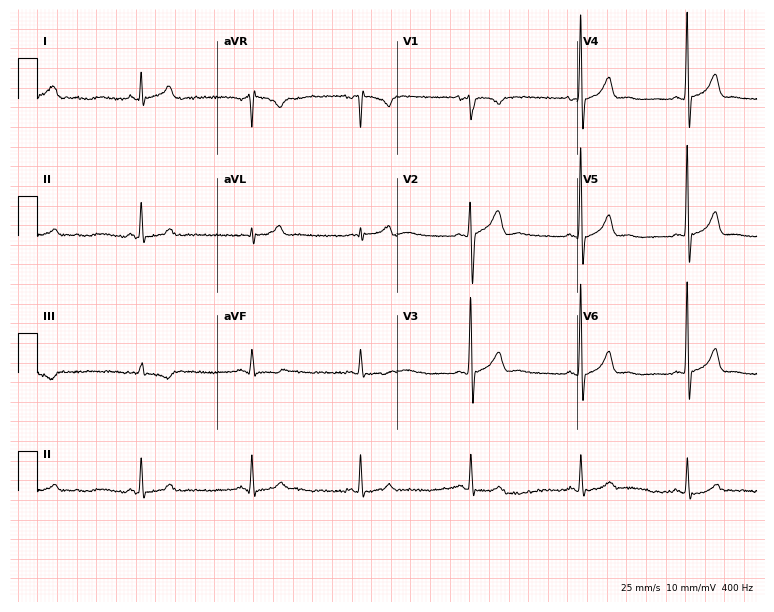
Standard 12-lead ECG recorded from a man, 39 years old. None of these six findings is recorded: first-degree AV block, right bundle branch block, left bundle branch block, sinus bradycardia, atrial fibrillation, sinus tachycardia.